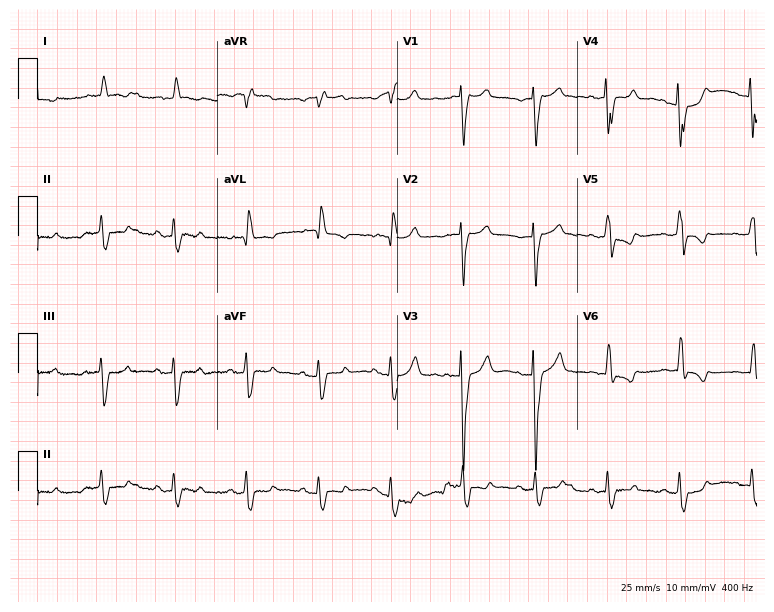
ECG — an 83-year-old woman. Screened for six findings — first-degree AV block, right bundle branch block, left bundle branch block, sinus bradycardia, atrial fibrillation, sinus tachycardia — none is recorded.